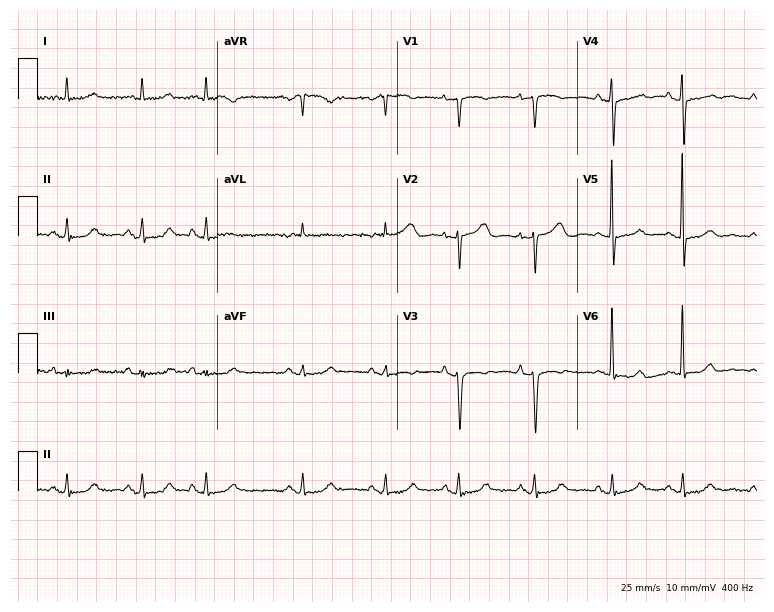
Resting 12-lead electrocardiogram. Patient: a female, 80 years old. None of these six findings is recorded: first-degree AV block, right bundle branch block, left bundle branch block, sinus bradycardia, atrial fibrillation, sinus tachycardia. Other findings, if any, are not listed.